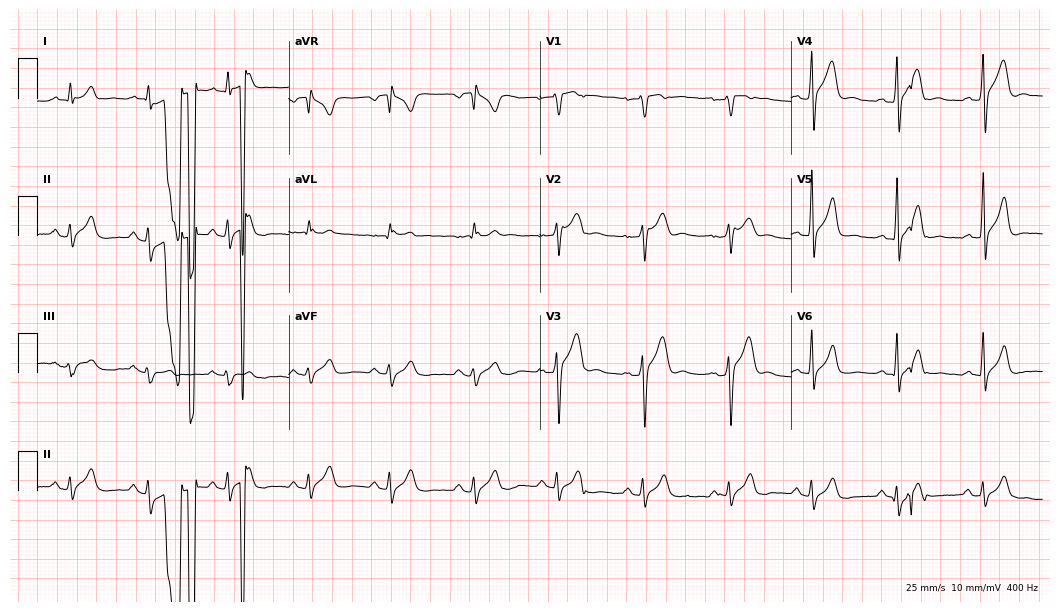
12-lead ECG from a 21-year-old male (10.2-second recording at 400 Hz). Recorded interpretation: within normal limits.